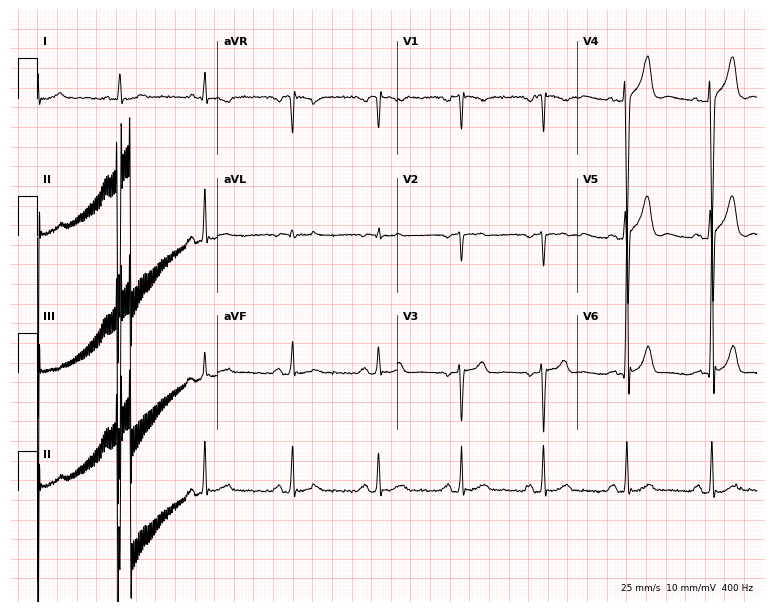
12-lead ECG (7.3-second recording at 400 Hz) from a 22-year-old male. Screened for six findings — first-degree AV block, right bundle branch block, left bundle branch block, sinus bradycardia, atrial fibrillation, sinus tachycardia — none is recorded. Other findings, if any, are not listed.